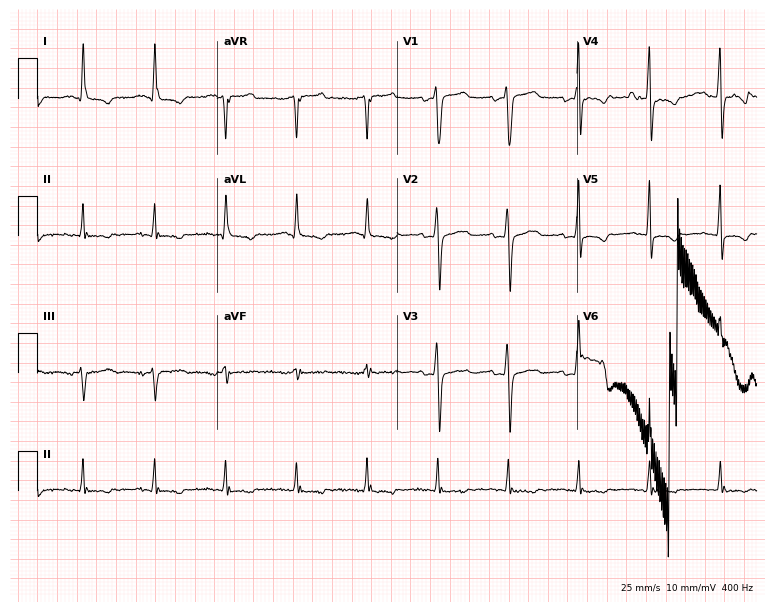
Electrocardiogram (7.3-second recording at 400 Hz), a male, 73 years old. Of the six screened findings (first-degree AV block, right bundle branch block (RBBB), left bundle branch block (LBBB), sinus bradycardia, atrial fibrillation (AF), sinus tachycardia), none is recorded.